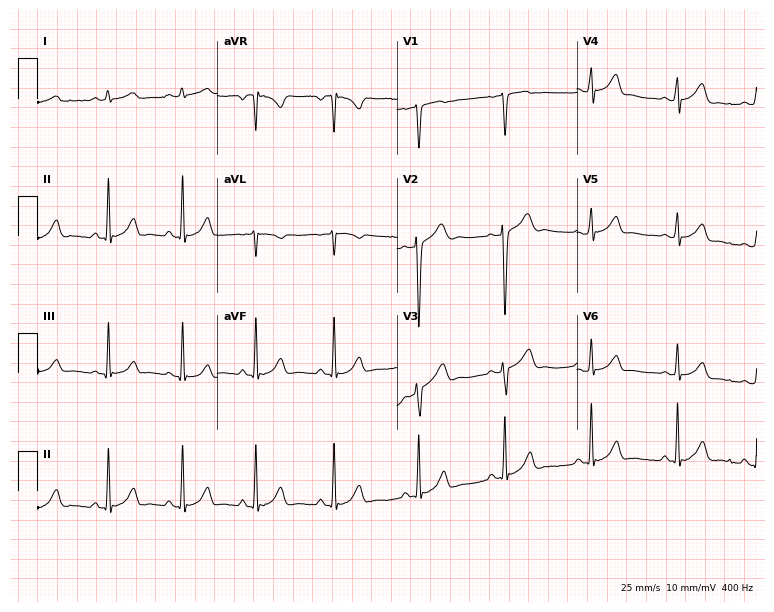
12-lead ECG from a 19-year-old female patient. No first-degree AV block, right bundle branch block, left bundle branch block, sinus bradycardia, atrial fibrillation or sinus tachycardia recorded for this tracing. Findings outside these six are not listed.